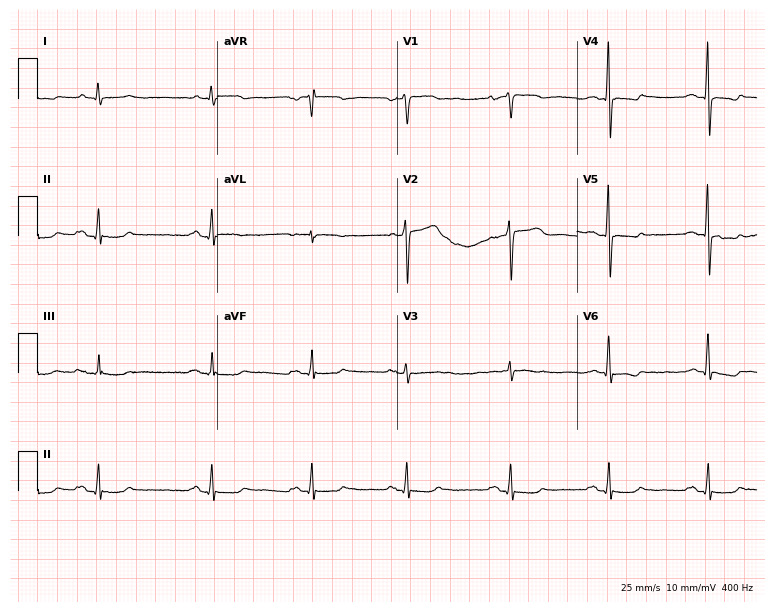
Standard 12-lead ECG recorded from a 63-year-old male. None of these six findings is recorded: first-degree AV block, right bundle branch block, left bundle branch block, sinus bradycardia, atrial fibrillation, sinus tachycardia.